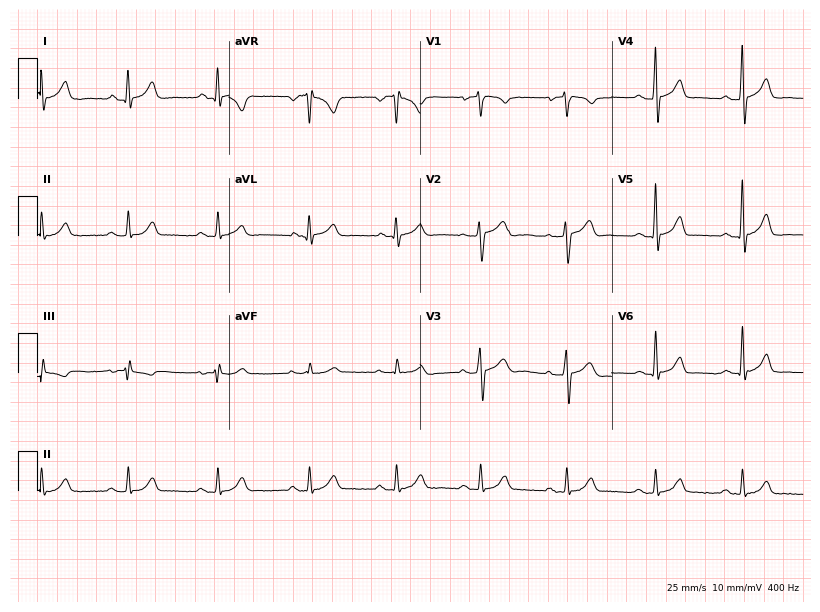
12-lead ECG (7.8-second recording at 400 Hz) from a 34-year-old man. Screened for six findings — first-degree AV block, right bundle branch block (RBBB), left bundle branch block (LBBB), sinus bradycardia, atrial fibrillation (AF), sinus tachycardia — none is recorded.